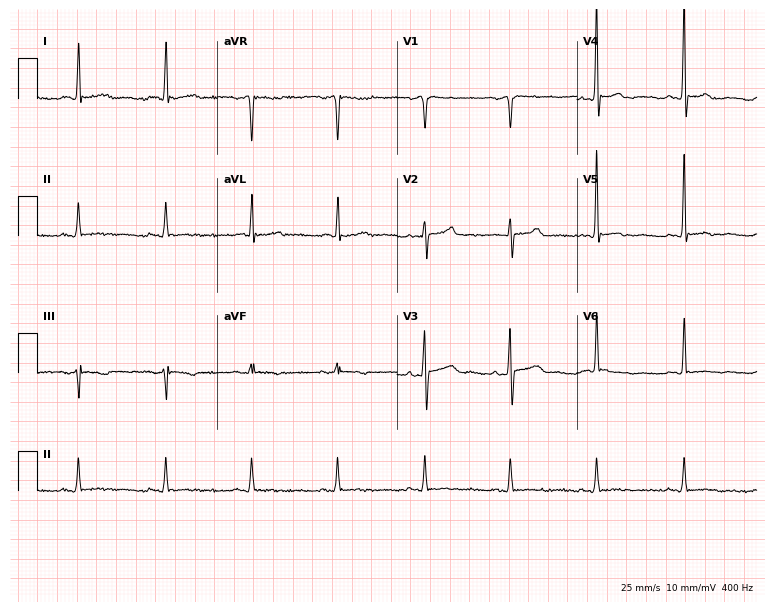
Resting 12-lead electrocardiogram (7.3-second recording at 400 Hz). Patient: a 68-year-old man. None of these six findings is recorded: first-degree AV block, right bundle branch block, left bundle branch block, sinus bradycardia, atrial fibrillation, sinus tachycardia.